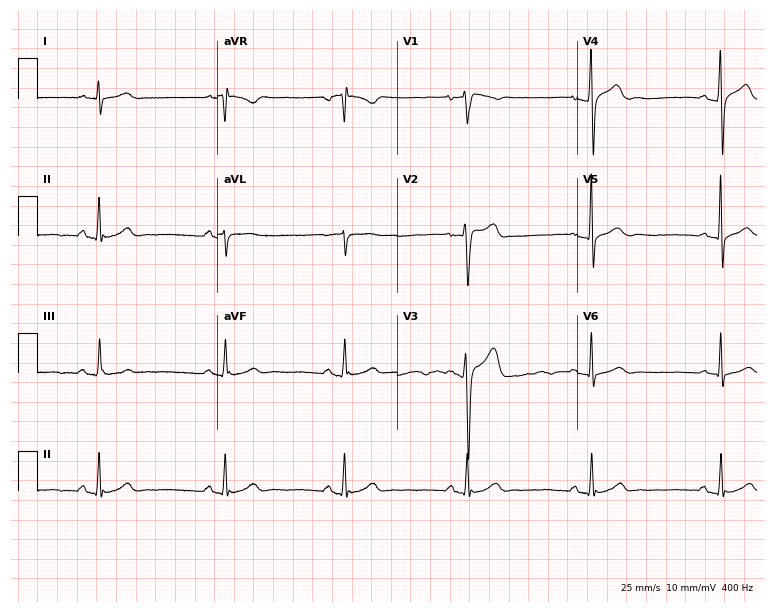
12-lead ECG from a 38-year-old man (7.3-second recording at 400 Hz). Shows sinus bradycardia (a sinus rate of 50 beats per minute or less).